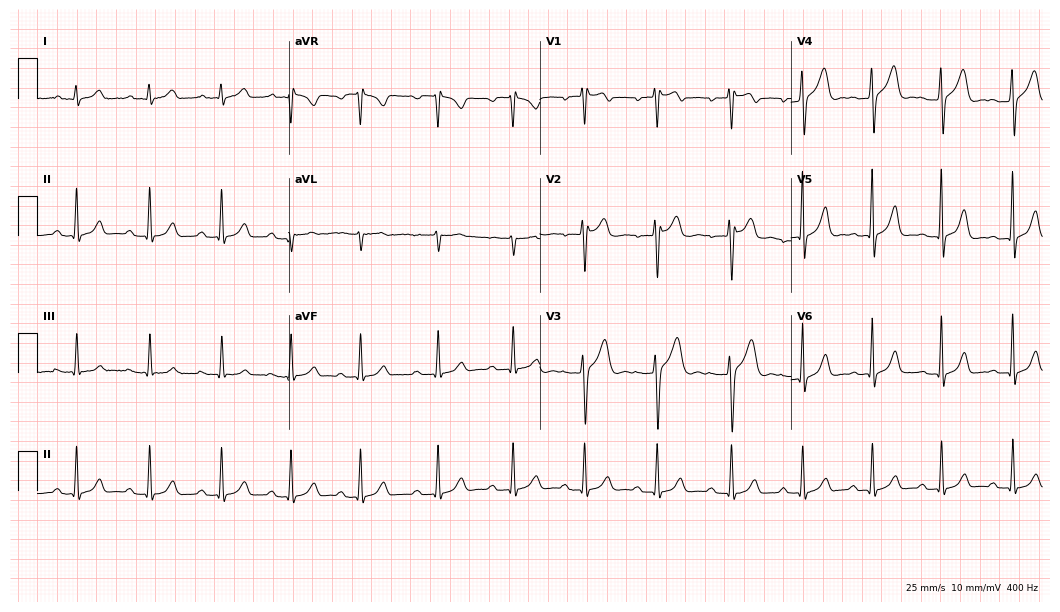
Resting 12-lead electrocardiogram (10.2-second recording at 400 Hz). Patient: a 19-year-old male. None of these six findings is recorded: first-degree AV block, right bundle branch block, left bundle branch block, sinus bradycardia, atrial fibrillation, sinus tachycardia. Only these six findings were labelled.